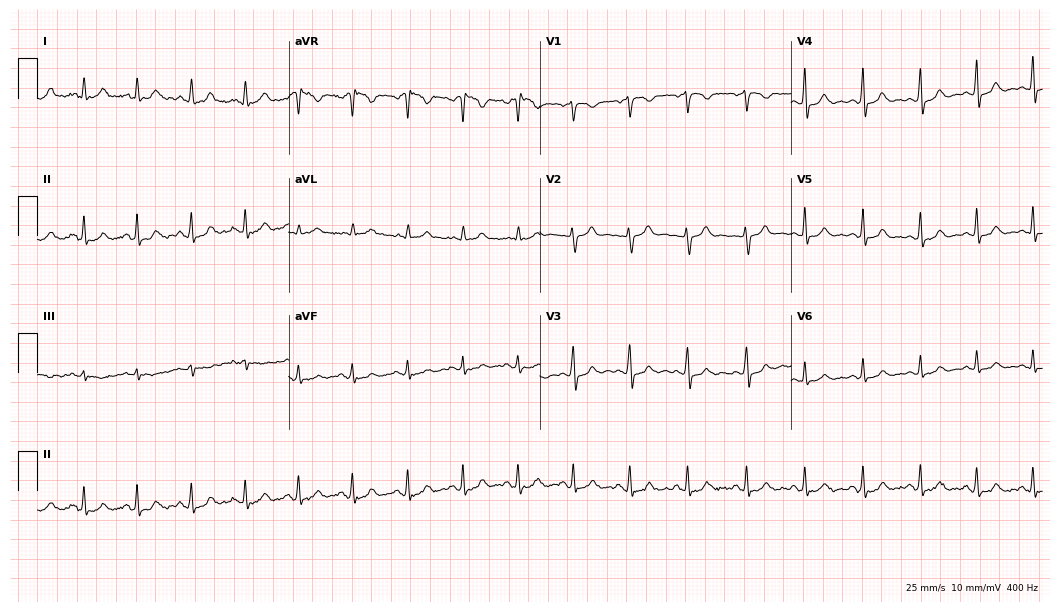
Standard 12-lead ECG recorded from a 25-year-old woman. The tracing shows sinus tachycardia (a sinus rate of 100 beats per minute or more).